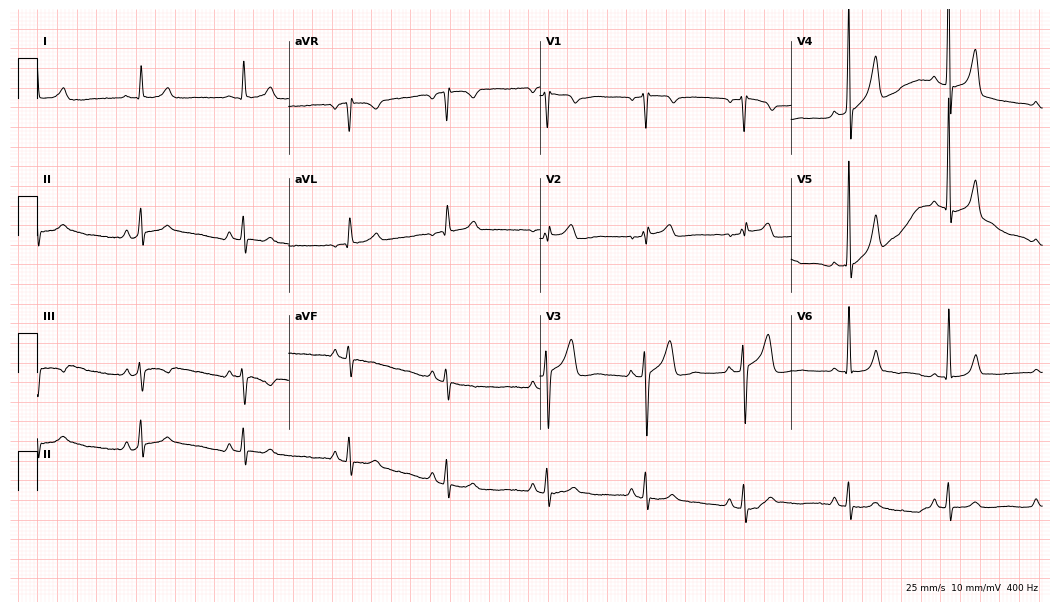
Electrocardiogram (10.2-second recording at 400 Hz), a male patient, 44 years old. Of the six screened findings (first-degree AV block, right bundle branch block (RBBB), left bundle branch block (LBBB), sinus bradycardia, atrial fibrillation (AF), sinus tachycardia), none is recorded. Other findings, if any, are not listed.